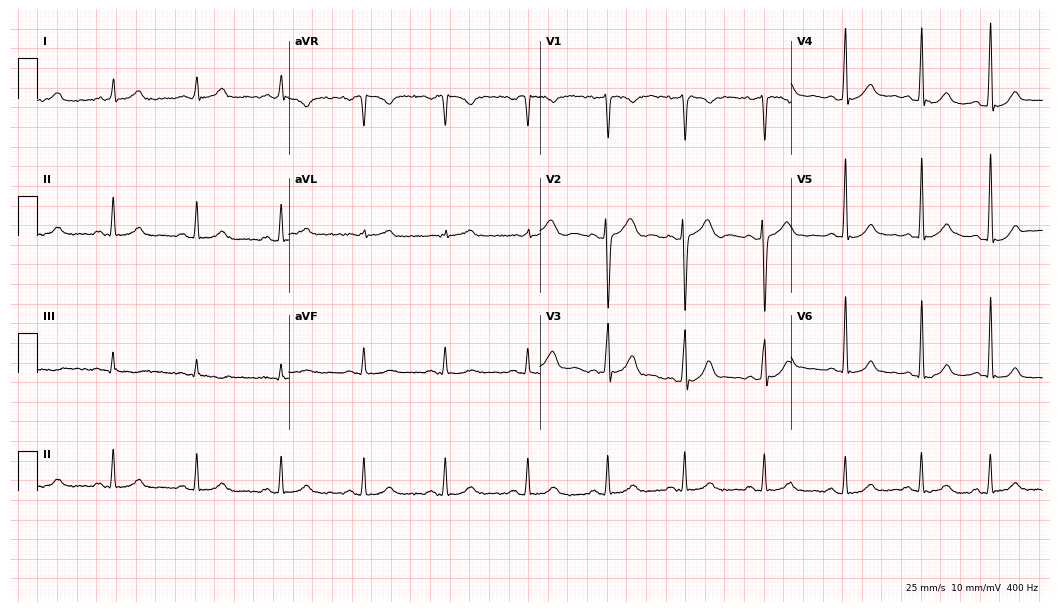
Resting 12-lead electrocardiogram. Patient: a 36-year-old female. None of these six findings is recorded: first-degree AV block, right bundle branch block, left bundle branch block, sinus bradycardia, atrial fibrillation, sinus tachycardia. Only these six findings were labelled.